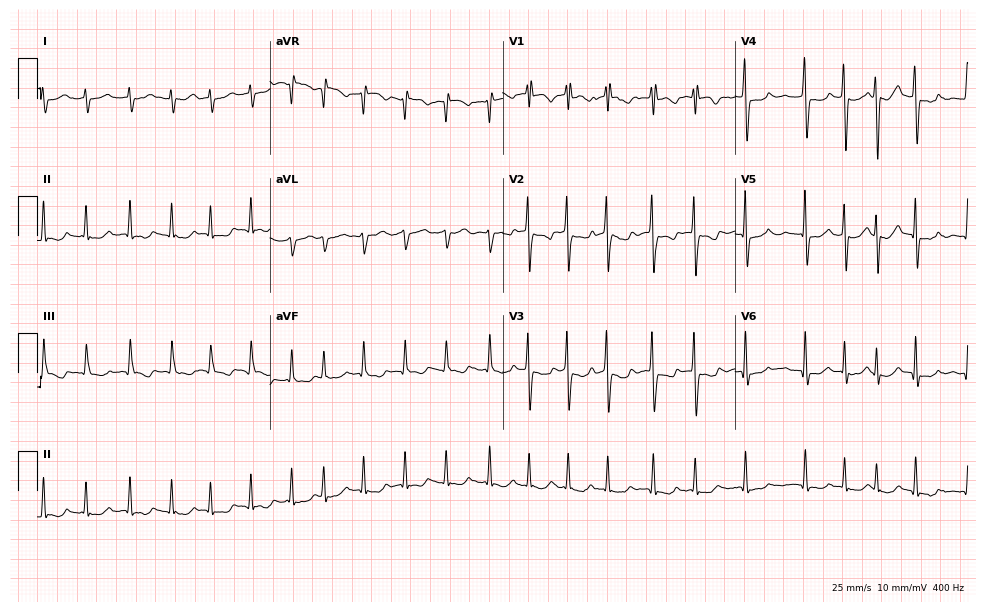
12-lead ECG from a female patient, 77 years old. Findings include atrial fibrillation, sinus tachycardia (a sinus rate of 100 beats per minute or more).